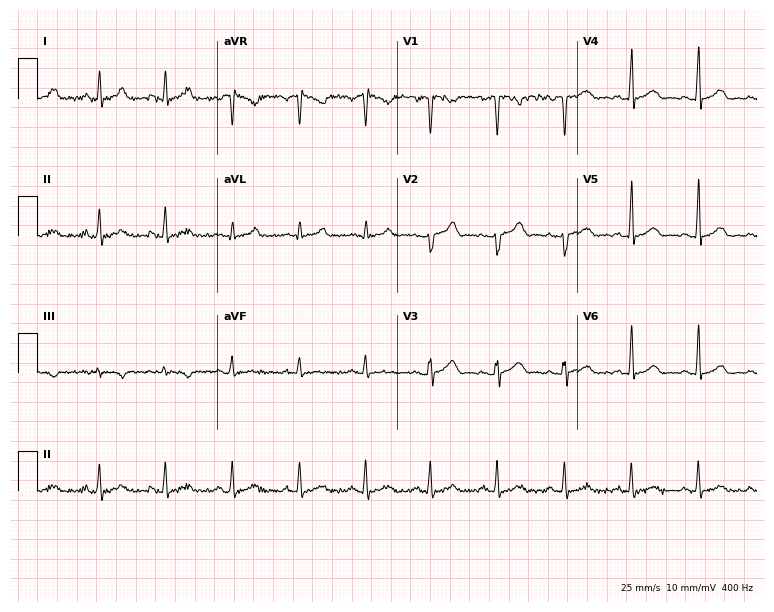
12-lead ECG (7.3-second recording at 400 Hz) from a 31-year-old female patient. Labelled as a normal ECG.